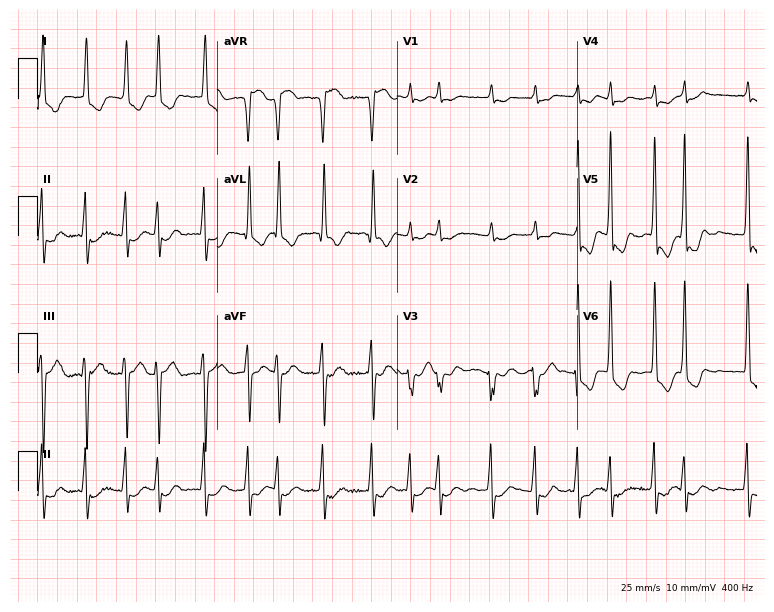
12-lead ECG (7.3-second recording at 400 Hz) from a woman, 82 years old. Findings include atrial fibrillation.